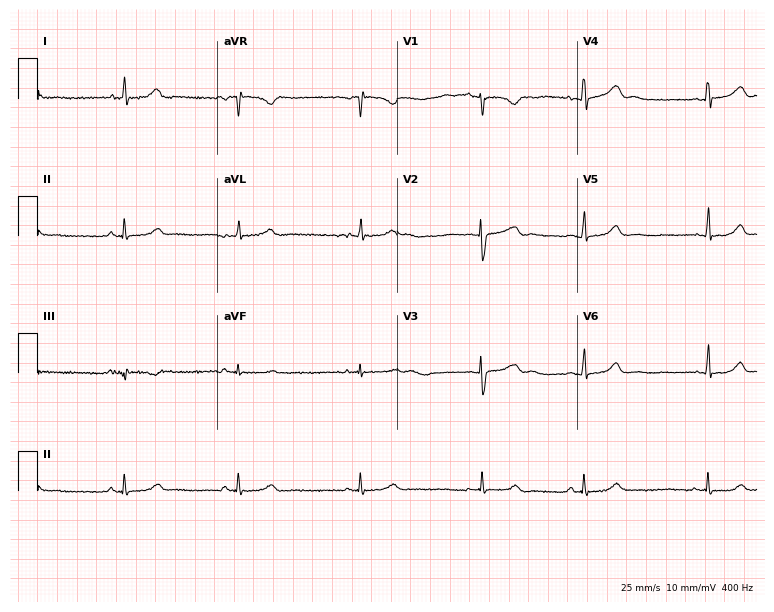
12-lead ECG from a 22-year-old female (7.3-second recording at 400 Hz). Shows sinus bradycardia (a sinus rate of 50 beats per minute or less).